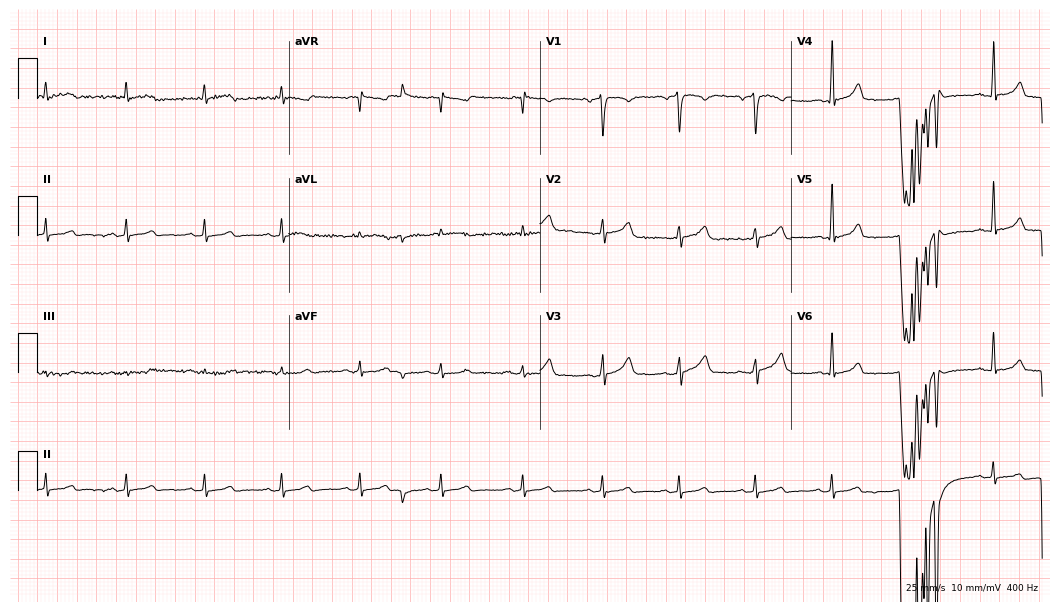
Standard 12-lead ECG recorded from a female patient, 41 years old. None of these six findings is recorded: first-degree AV block, right bundle branch block, left bundle branch block, sinus bradycardia, atrial fibrillation, sinus tachycardia. Other findings, if any, are not listed.